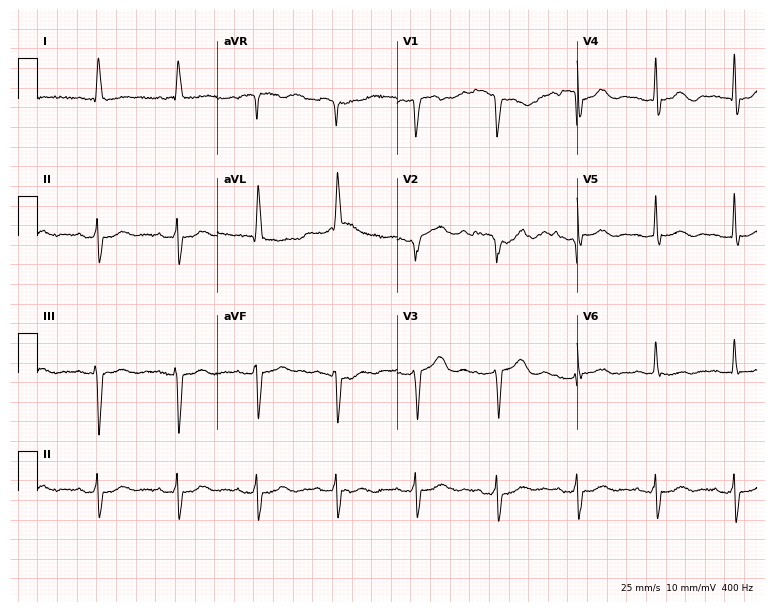
Electrocardiogram (7.3-second recording at 400 Hz), a female patient, 72 years old. Of the six screened findings (first-degree AV block, right bundle branch block (RBBB), left bundle branch block (LBBB), sinus bradycardia, atrial fibrillation (AF), sinus tachycardia), none is recorded. Findings outside these six are not listed.